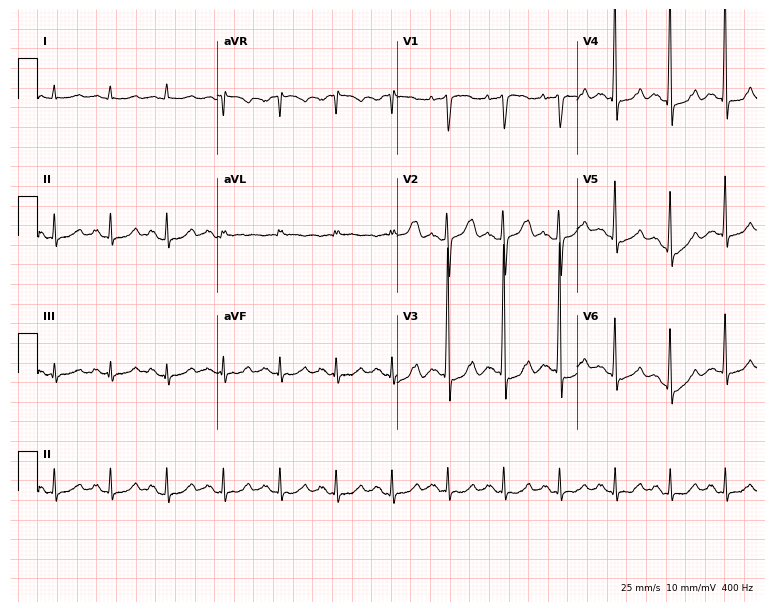
Standard 12-lead ECG recorded from a male patient, 61 years old. The tracing shows sinus tachycardia (a sinus rate of 100 beats per minute or more).